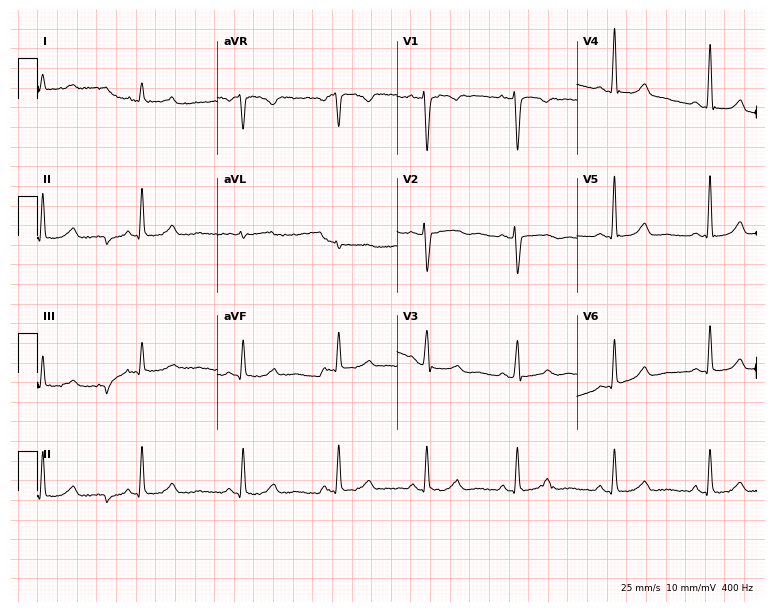
Electrocardiogram, a female patient, 46 years old. Of the six screened findings (first-degree AV block, right bundle branch block, left bundle branch block, sinus bradycardia, atrial fibrillation, sinus tachycardia), none is recorded.